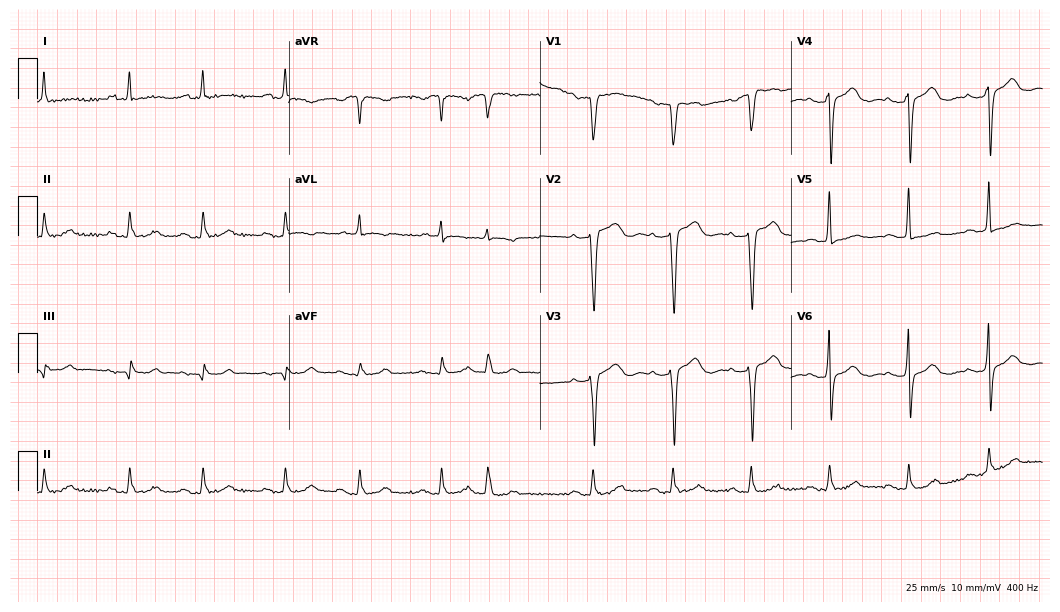
12-lead ECG from a 78-year-old female. No first-degree AV block, right bundle branch block, left bundle branch block, sinus bradycardia, atrial fibrillation or sinus tachycardia recorded for this tracing. Findings outside these six are not listed.